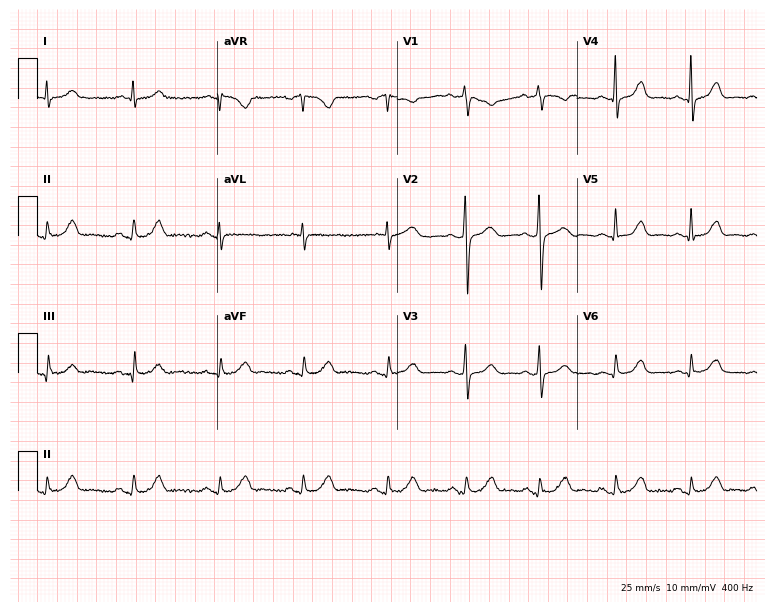
12-lead ECG from a 51-year-old female patient. Labelled as a normal ECG.